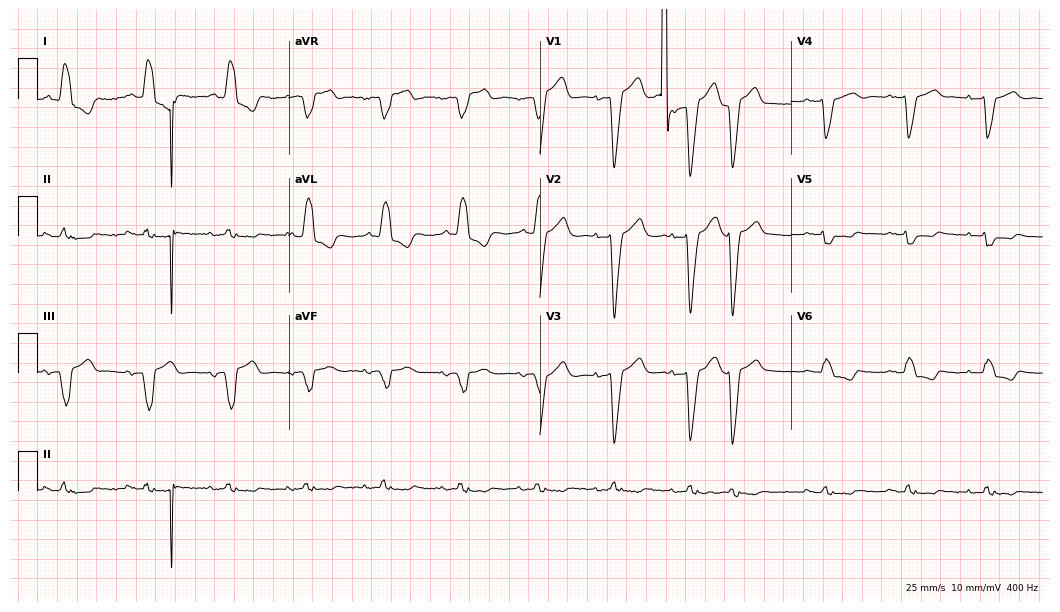
12-lead ECG from an 82-year-old male patient. Shows left bundle branch block.